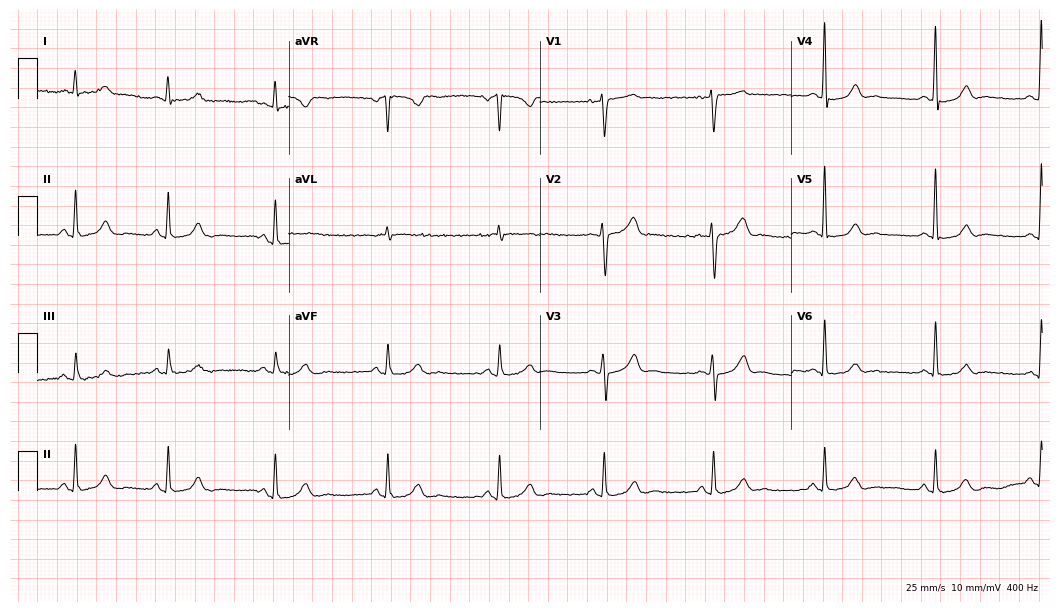
12-lead ECG from a female patient, 53 years old. Recorded interpretation: within normal limits.